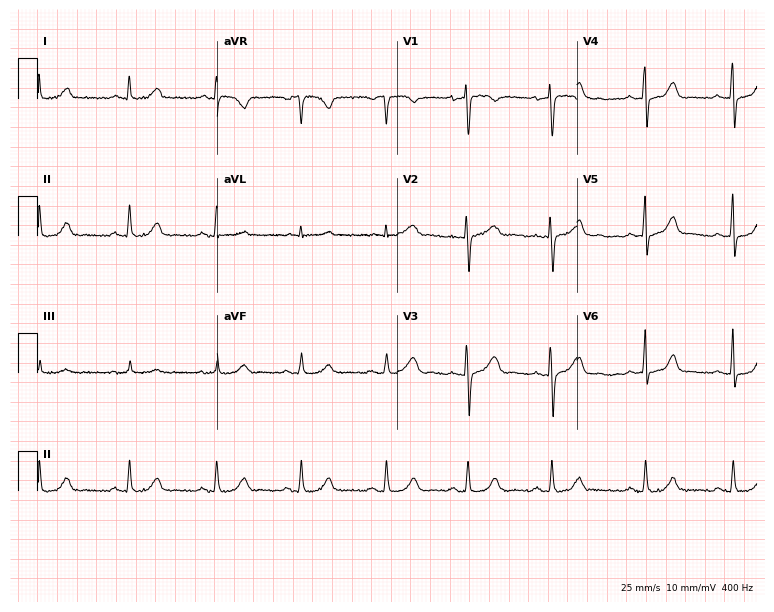
Electrocardiogram (7.3-second recording at 400 Hz), a 36-year-old female patient. Overall reading on record: normal ECG.